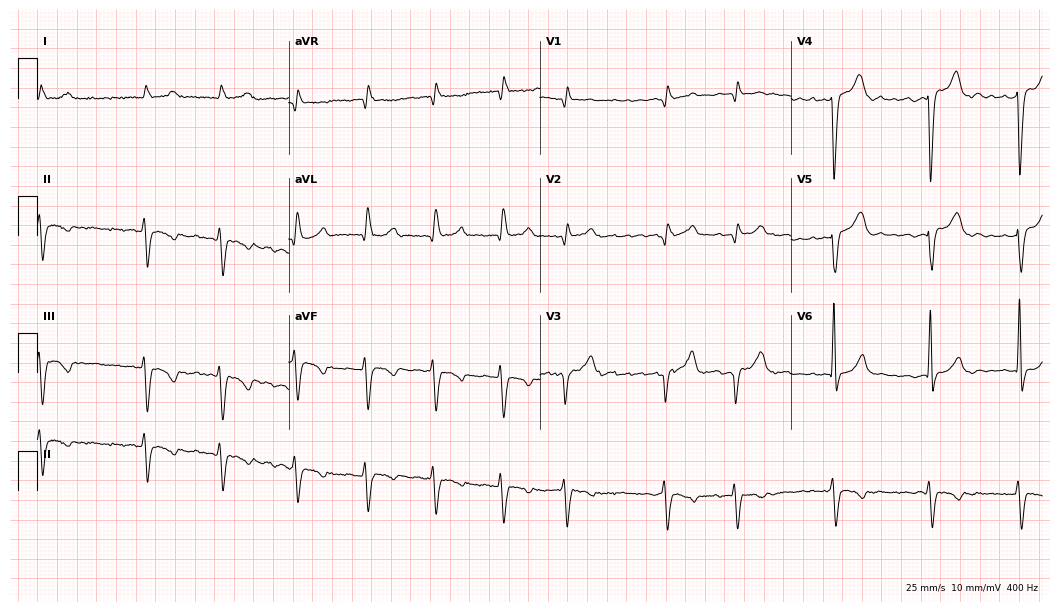
Electrocardiogram, an 81-year-old man. Of the six screened findings (first-degree AV block, right bundle branch block (RBBB), left bundle branch block (LBBB), sinus bradycardia, atrial fibrillation (AF), sinus tachycardia), none is recorded. Other findings, if any, are not listed.